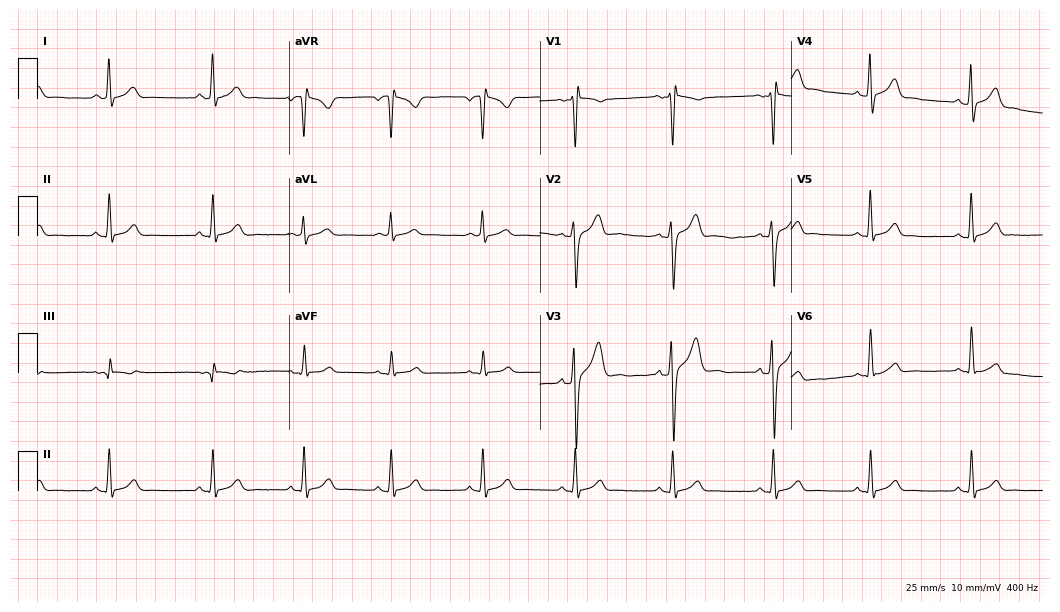
Resting 12-lead electrocardiogram (10.2-second recording at 400 Hz). Patient: a 26-year-old man. None of these six findings is recorded: first-degree AV block, right bundle branch block, left bundle branch block, sinus bradycardia, atrial fibrillation, sinus tachycardia. Only these six findings were labelled.